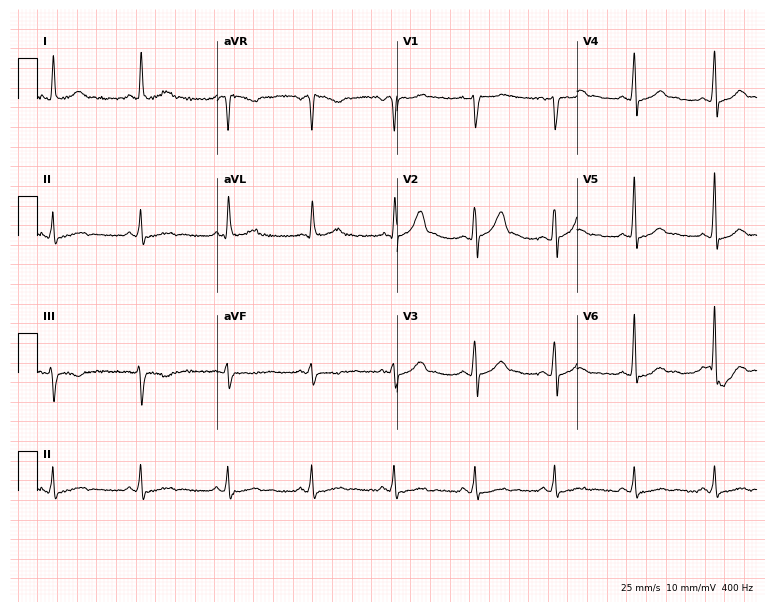
Electrocardiogram, a 46-year-old man. Overall reading on record: normal ECG.